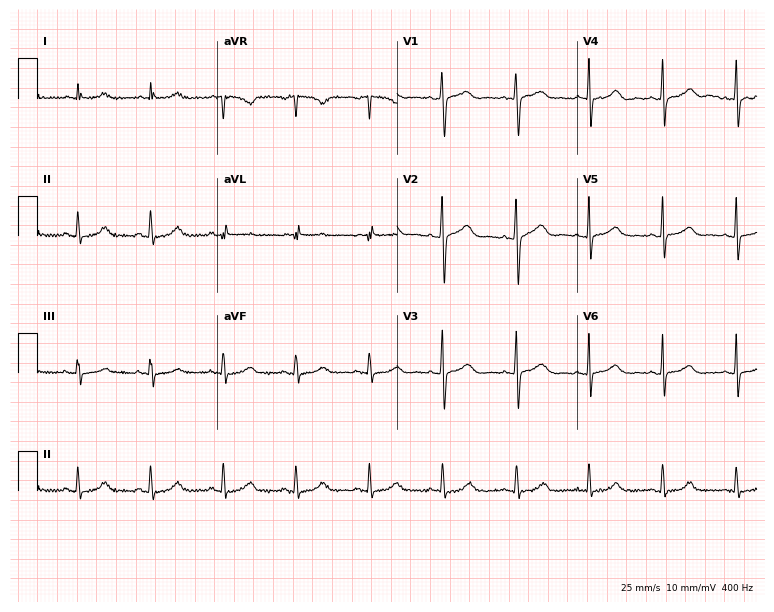
Resting 12-lead electrocardiogram (7.3-second recording at 400 Hz). Patient: a female, 47 years old. None of these six findings is recorded: first-degree AV block, right bundle branch block, left bundle branch block, sinus bradycardia, atrial fibrillation, sinus tachycardia. Findings outside these six are not listed.